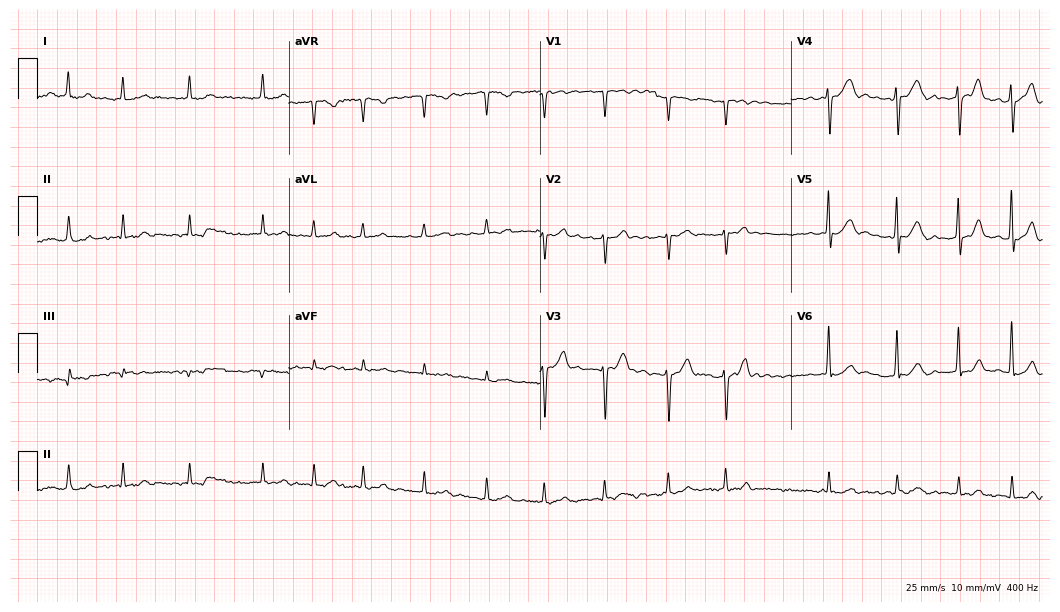
Standard 12-lead ECG recorded from a man, 68 years old (10.2-second recording at 400 Hz). The tracing shows atrial fibrillation.